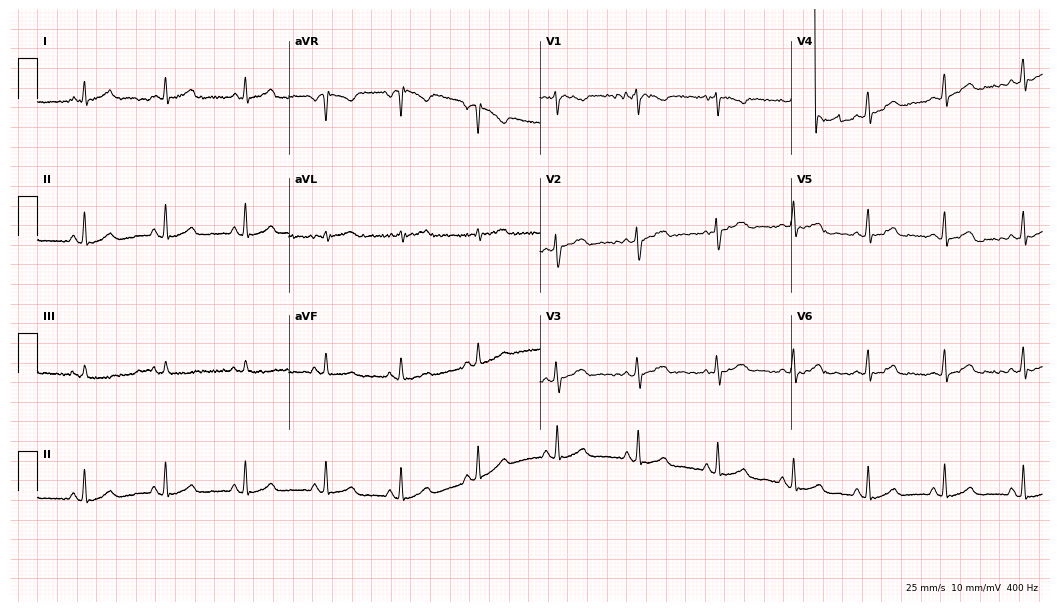
Standard 12-lead ECG recorded from a 19-year-old female patient. None of these six findings is recorded: first-degree AV block, right bundle branch block, left bundle branch block, sinus bradycardia, atrial fibrillation, sinus tachycardia. Only these six findings were labelled.